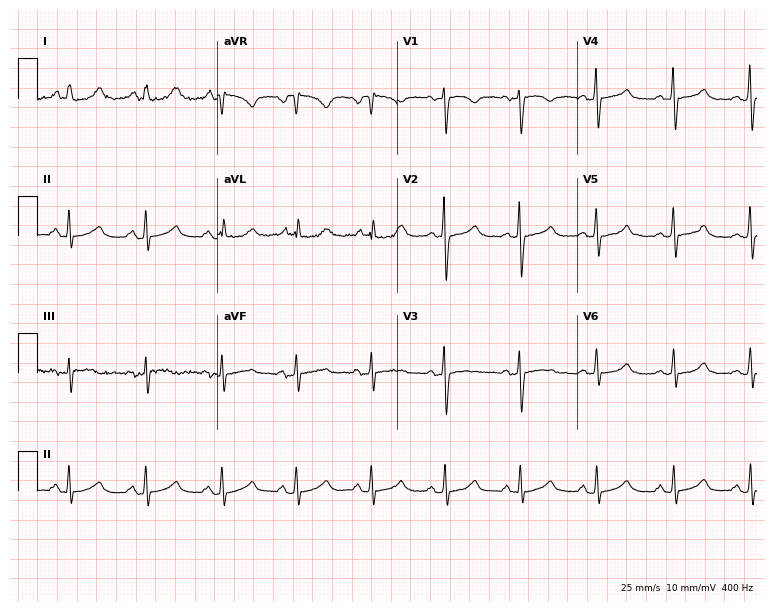
Electrocardiogram, a female, 66 years old. Overall reading on record: normal ECG.